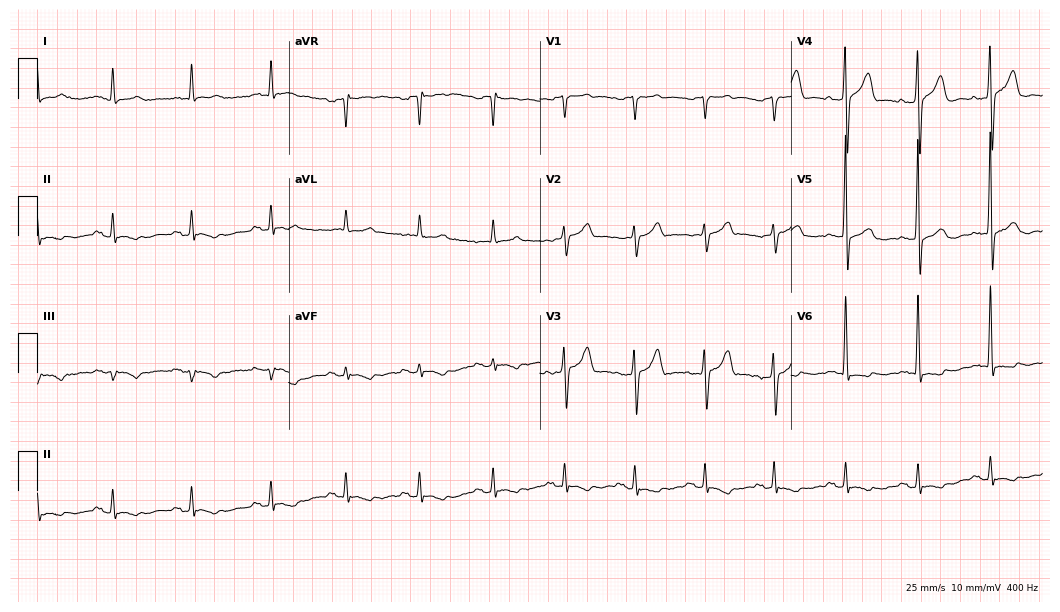
ECG (10.2-second recording at 400 Hz) — a man, 68 years old. Labelled as a normal ECG.